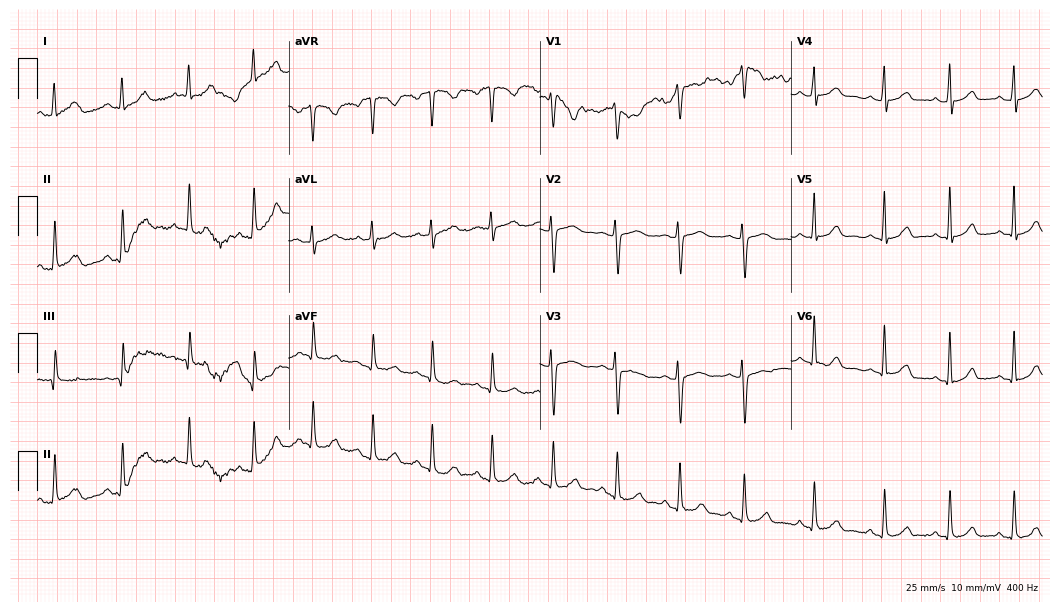
12-lead ECG (10.2-second recording at 400 Hz) from a woman, 18 years old. Screened for six findings — first-degree AV block, right bundle branch block (RBBB), left bundle branch block (LBBB), sinus bradycardia, atrial fibrillation (AF), sinus tachycardia — none is recorded. Only these six findings were labelled.